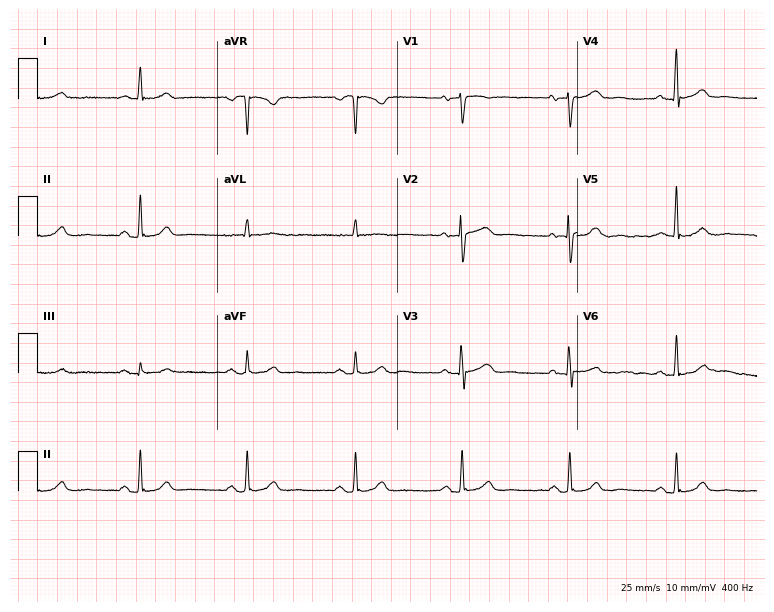
Standard 12-lead ECG recorded from a man, 76 years old. Read as a normal ECG.